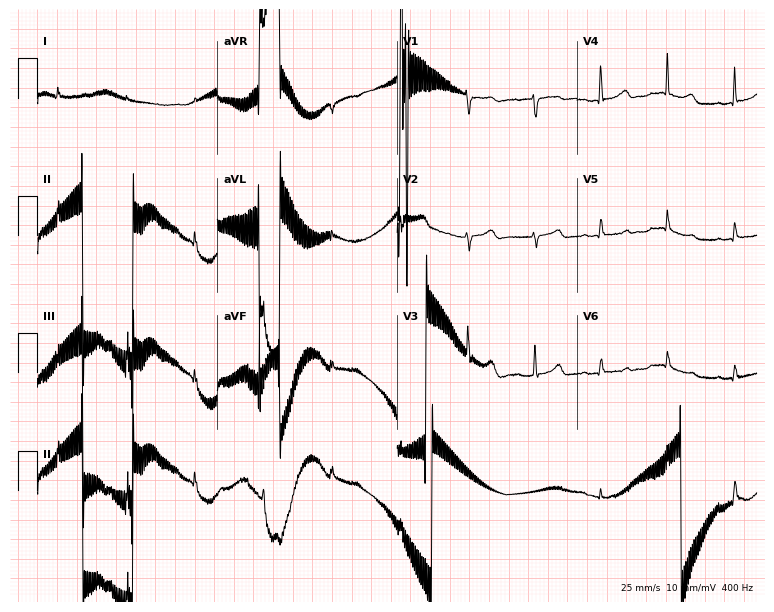
Resting 12-lead electrocardiogram (7.3-second recording at 400 Hz). Patient: a 74-year-old man. None of these six findings is recorded: first-degree AV block, right bundle branch block, left bundle branch block, sinus bradycardia, atrial fibrillation, sinus tachycardia.